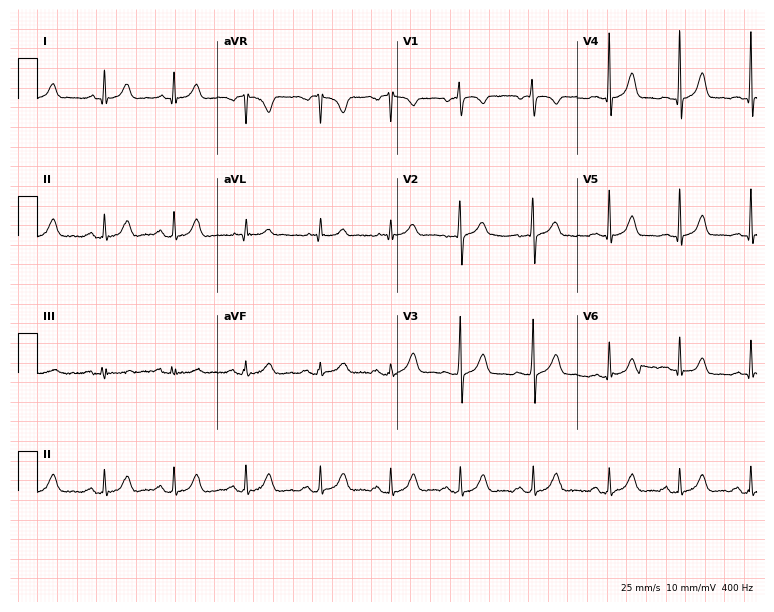
Electrocardiogram (7.3-second recording at 400 Hz), a 31-year-old female. Overall reading on record: normal ECG.